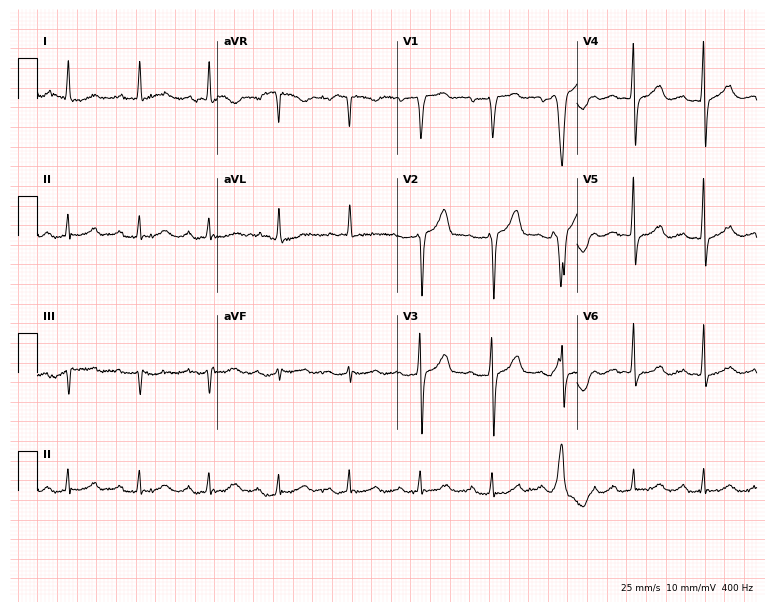
12-lead ECG from a man, 80 years old. Shows first-degree AV block.